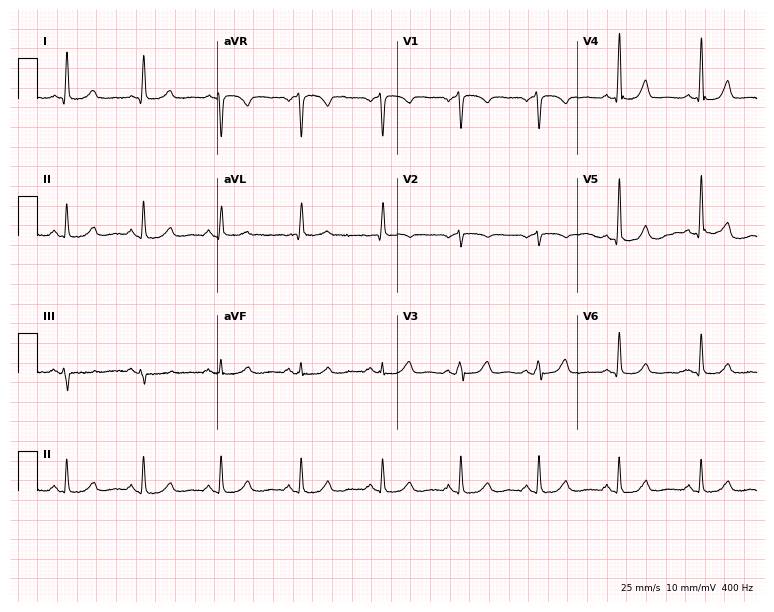
12-lead ECG (7.3-second recording at 400 Hz) from a woman, 59 years old. Labelled as a normal ECG.